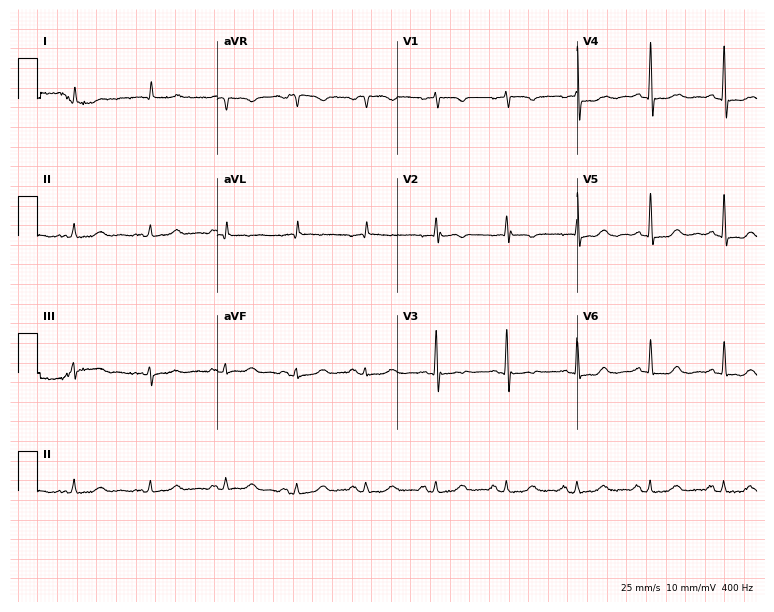
12-lead ECG from an 84-year-old woman. Screened for six findings — first-degree AV block, right bundle branch block, left bundle branch block, sinus bradycardia, atrial fibrillation, sinus tachycardia — none is recorded. Only these six findings were labelled.